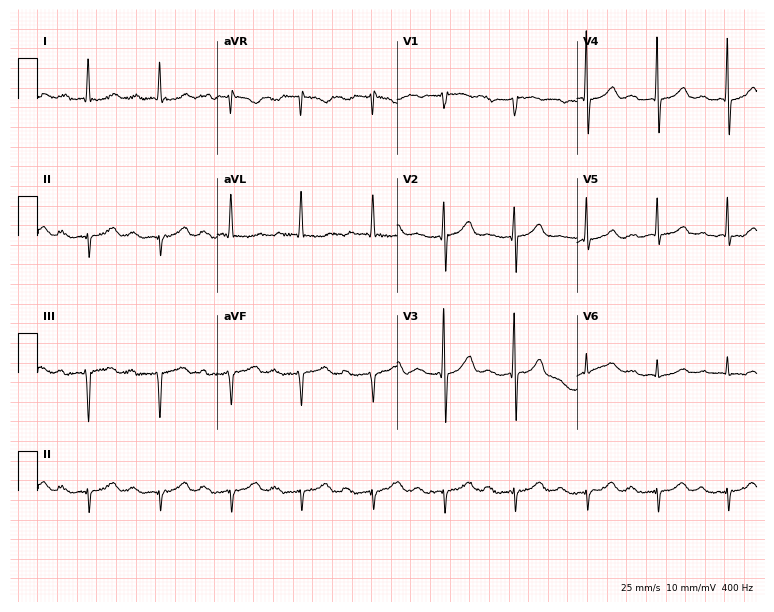
Resting 12-lead electrocardiogram (7.3-second recording at 400 Hz). Patient: a male, 85 years old. The tracing shows first-degree AV block.